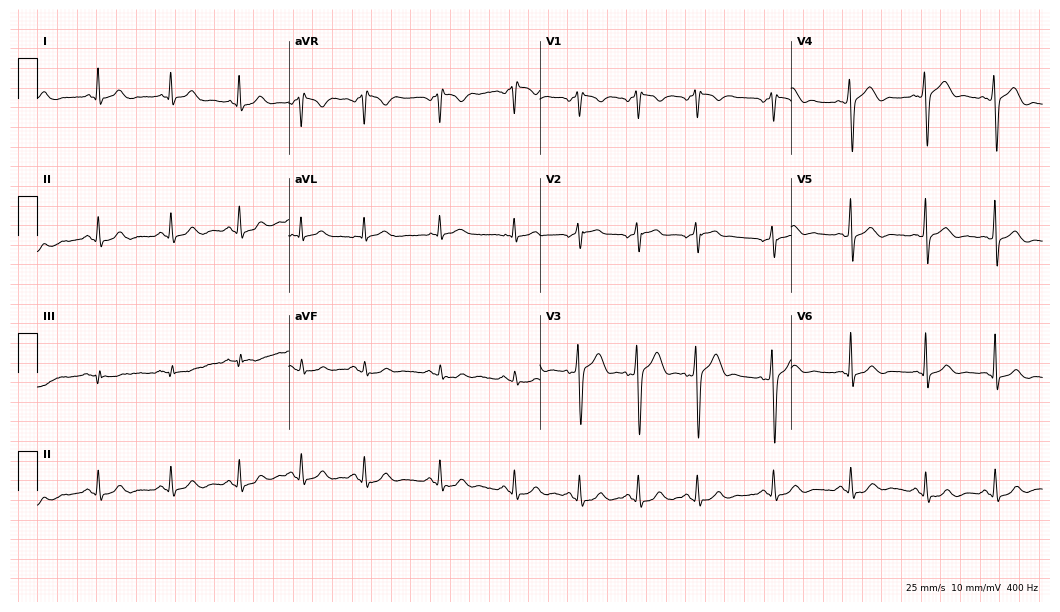
Electrocardiogram, a man, 34 years old. Overall reading on record: normal ECG.